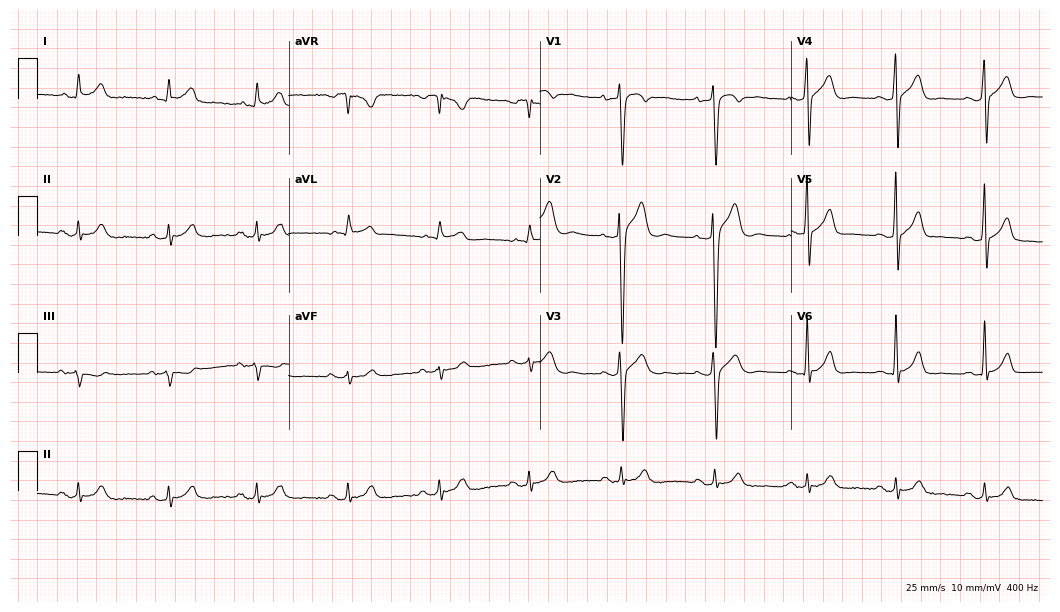
Electrocardiogram (10.2-second recording at 400 Hz), a 29-year-old man. Of the six screened findings (first-degree AV block, right bundle branch block (RBBB), left bundle branch block (LBBB), sinus bradycardia, atrial fibrillation (AF), sinus tachycardia), none is recorded. Only these six findings were labelled.